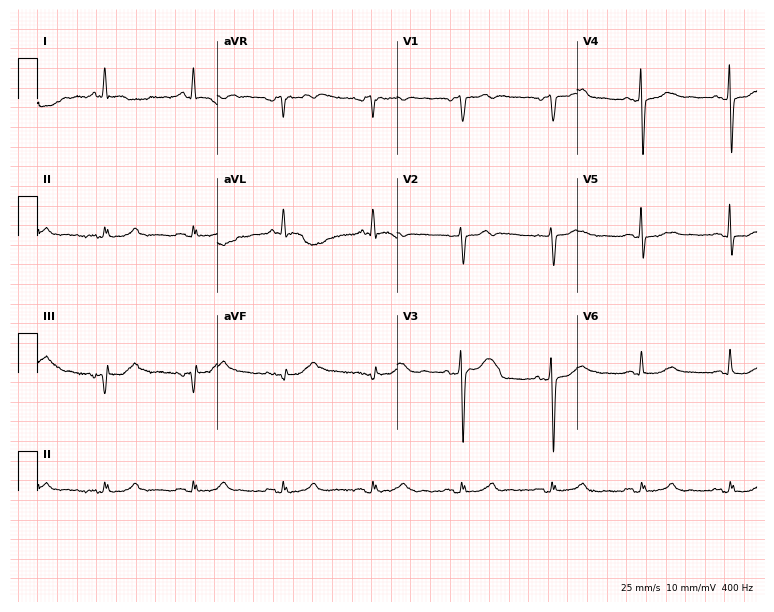
12-lead ECG from a 79-year-old male. No first-degree AV block, right bundle branch block (RBBB), left bundle branch block (LBBB), sinus bradycardia, atrial fibrillation (AF) or sinus tachycardia recorded for this tracing.